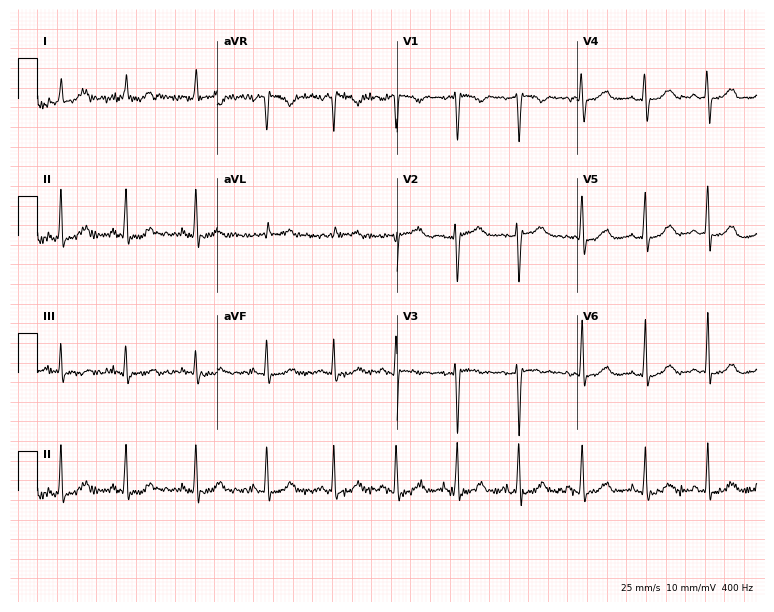
Resting 12-lead electrocardiogram (7.3-second recording at 400 Hz). Patient: a woman, 30 years old. None of these six findings is recorded: first-degree AV block, right bundle branch block (RBBB), left bundle branch block (LBBB), sinus bradycardia, atrial fibrillation (AF), sinus tachycardia. Findings outside these six are not listed.